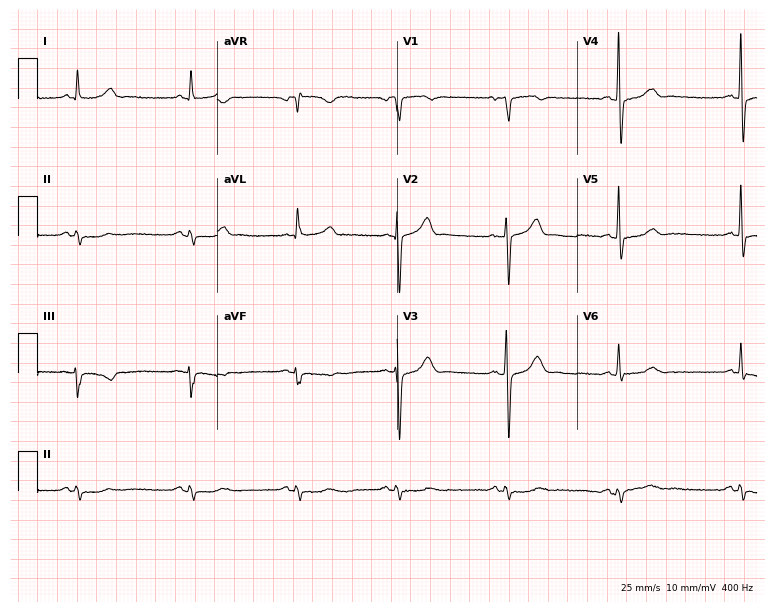
12-lead ECG from a 67-year-old male (7.3-second recording at 400 Hz). Recorded interpretation: within normal limits.